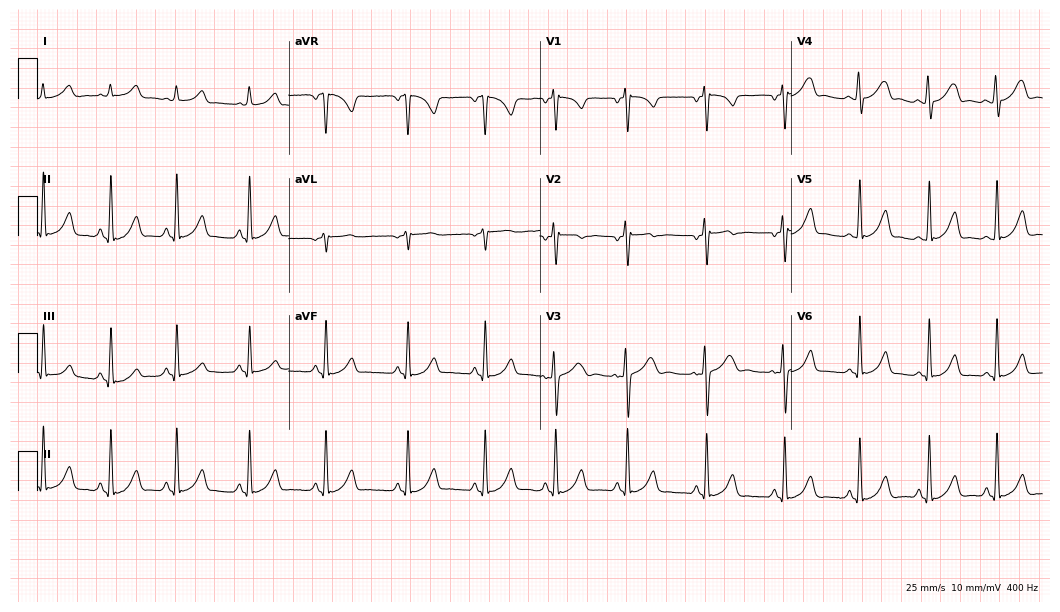
Resting 12-lead electrocardiogram (10.2-second recording at 400 Hz). Patient: a 34-year-old woman. None of these six findings is recorded: first-degree AV block, right bundle branch block (RBBB), left bundle branch block (LBBB), sinus bradycardia, atrial fibrillation (AF), sinus tachycardia. Other findings, if any, are not listed.